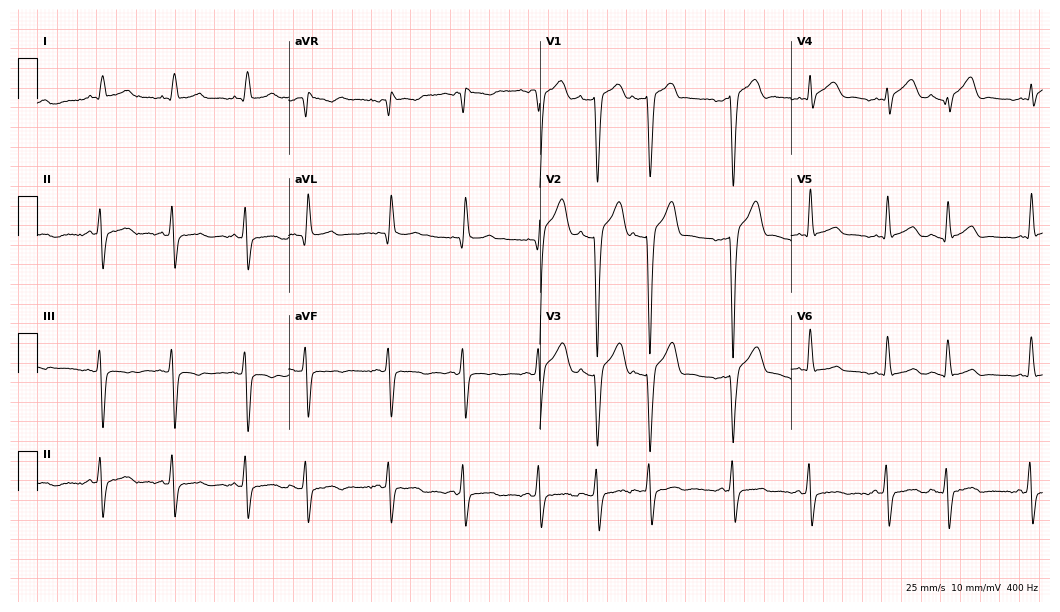
Electrocardiogram (10.2-second recording at 400 Hz), a male patient, 57 years old. Of the six screened findings (first-degree AV block, right bundle branch block, left bundle branch block, sinus bradycardia, atrial fibrillation, sinus tachycardia), none is recorded. Other findings, if any, are not listed.